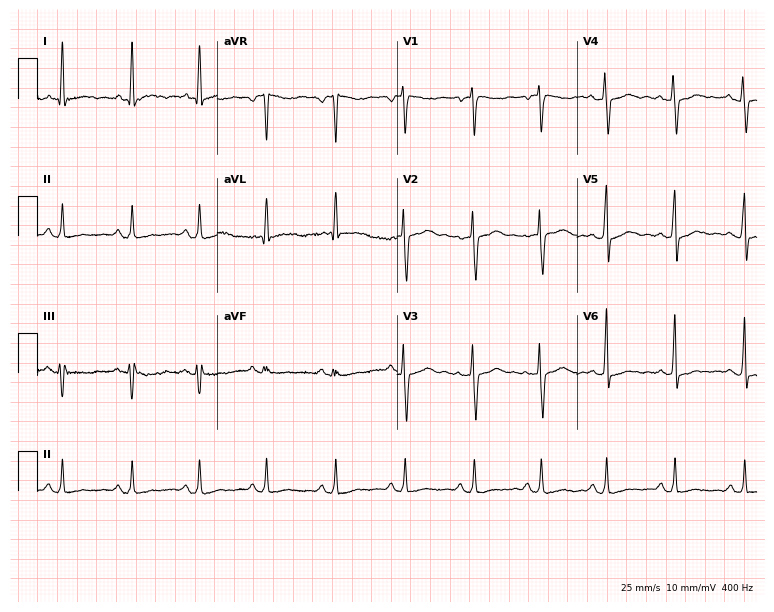
ECG (7.3-second recording at 400 Hz) — a 56-year-old female patient. Screened for six findings — first-degree AV block, right bundle branch block (RBBB), left bundle branch block (LBBB), sinus bradycardia, atrial fibrillation (AF), sinus tachycardia — none is recorded.